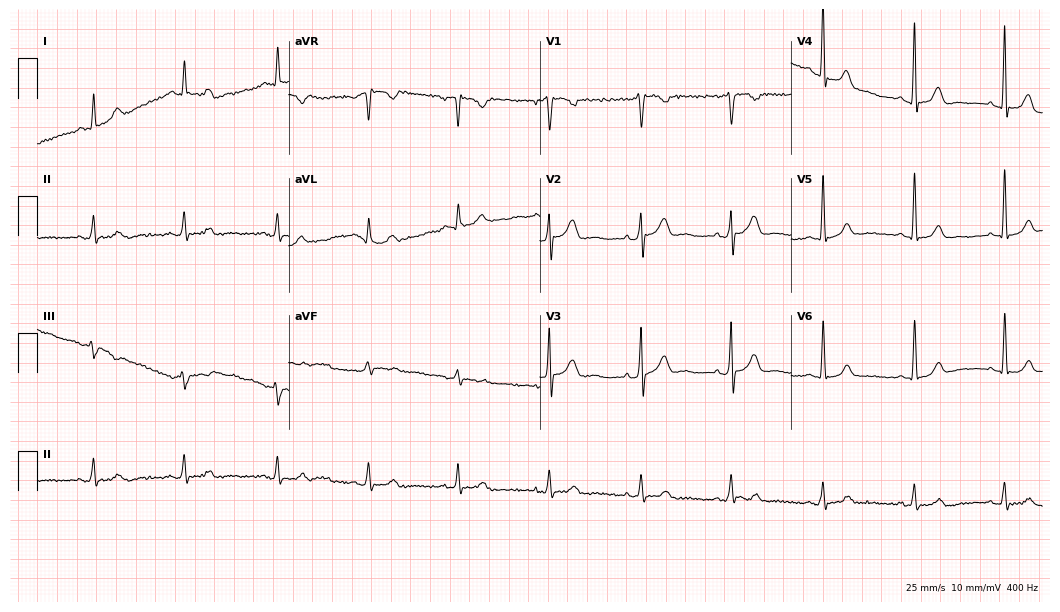
Electrocardiogram (10.2-second recording at 400 Hz), a 47-year-old male patient. Overall reading on record: normal ECG.